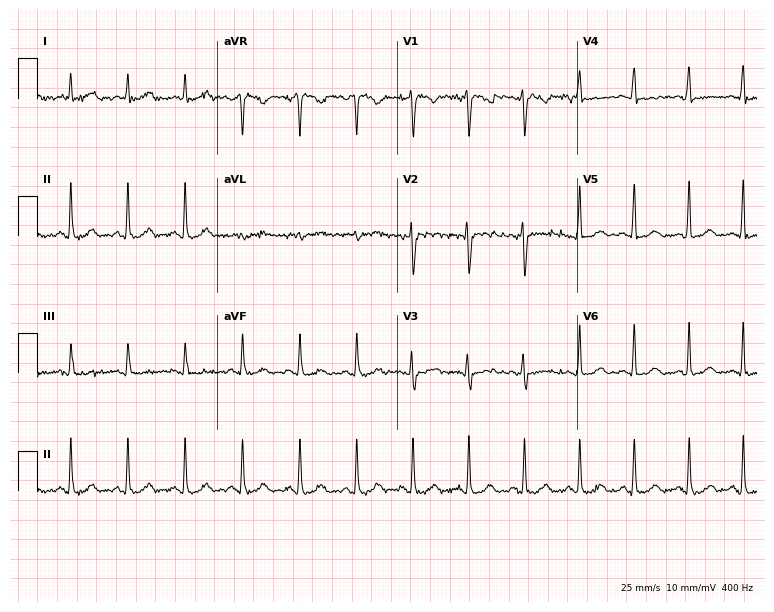
Standard 12-lead ECG recorded from a woman, 39 years old (7.3-second recording at 400 Hz). The tracing shows sinus tachycardia (a sinus rate of 100 beats per minute or more).